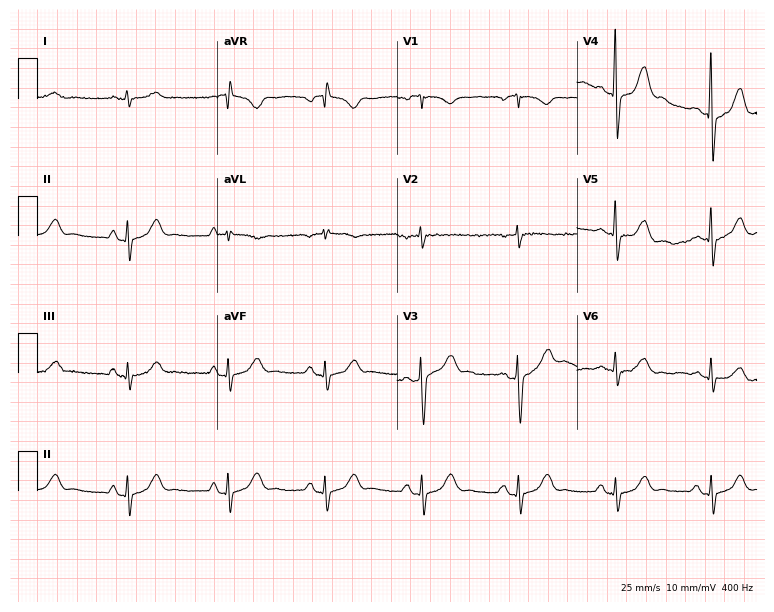
ECG (7.3-second recording at 400 Hz) — a 69-year-old male patient. Screened for six findings — first-degree AV block, right bundle branch block (RBBB), left bundle branch block (LBBB), sinus bradycardia, atrial fibrillation (AF), sinus tachycardia — none is recorded.